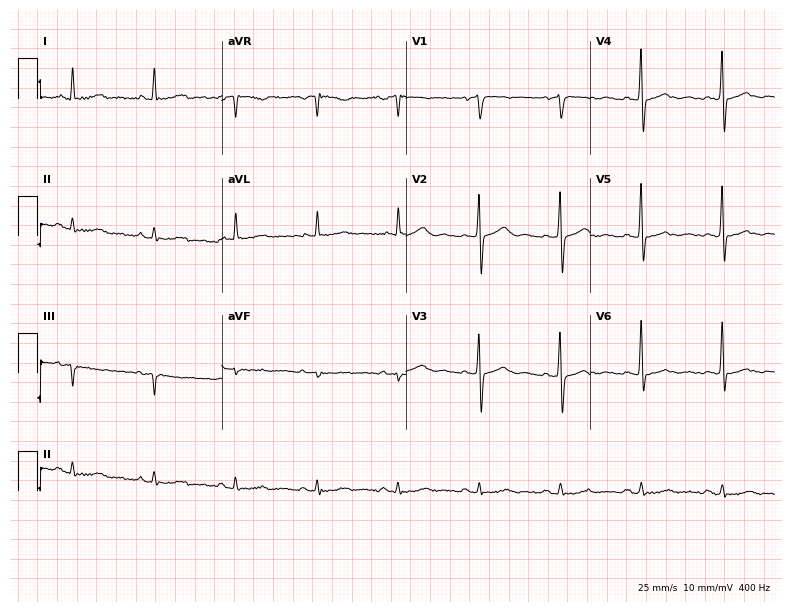
12-lead ECG (7.5-second recording at 400 Hz) from a male patient, 75 years old. Labelled as a normal ECG.